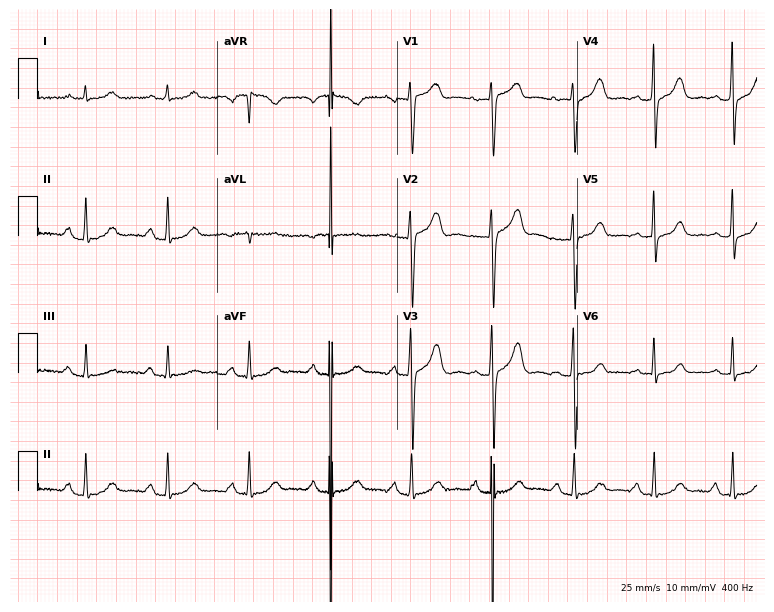
12-lead ECG from a 72-year-old woman. Shows first-degree AV block.